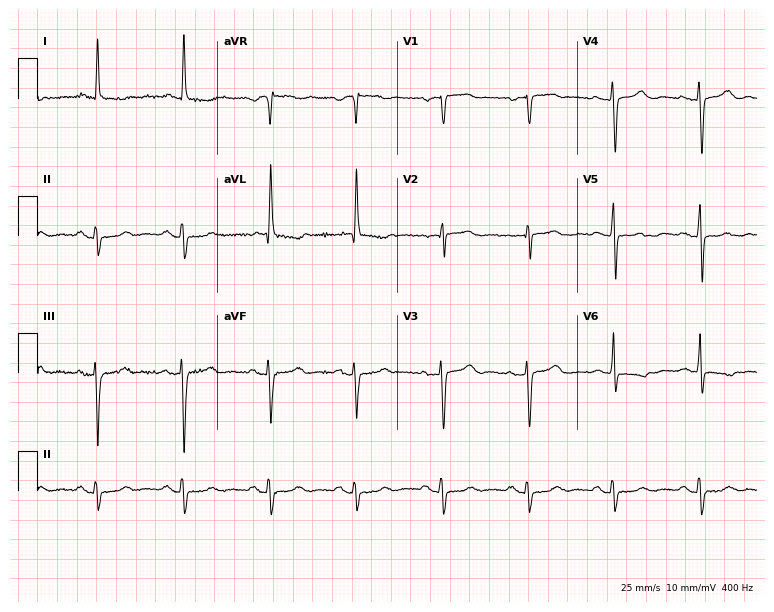
Standard 12-lead ECG recorded from an 84-year-old female patient (7.3-second recording at 400 Hz). None of these six findings is recorded: first-degree AV block, right bundle branch block, left bundle branch block, sinus bradycardia, atrial fibrillation, sinus tachycardia. Other findings, if any, are not listed.